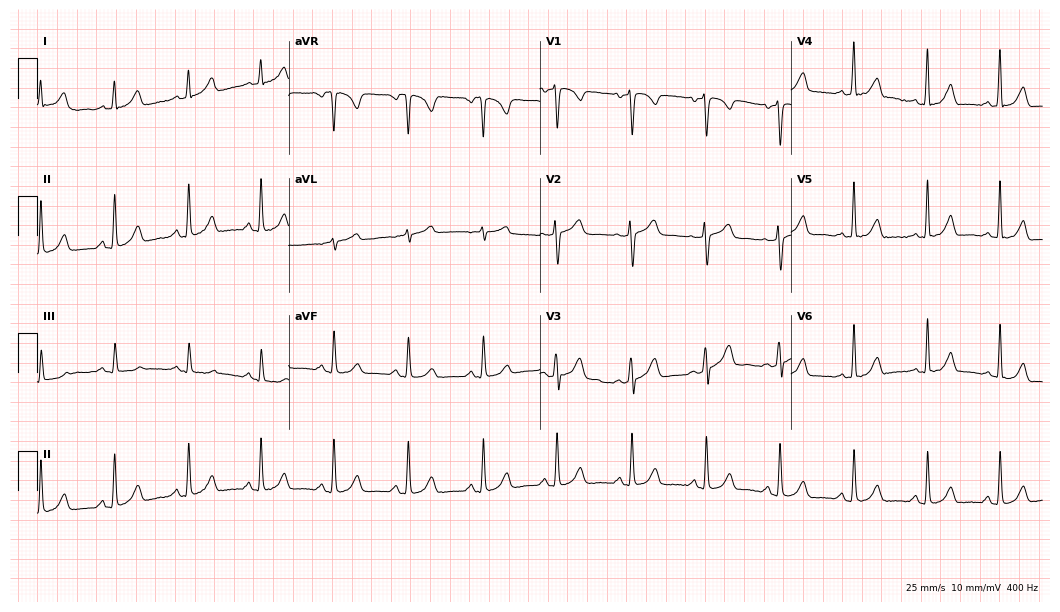
12-lead ECG from a female, 45 years old. Recorded interpretation: within normal limits.